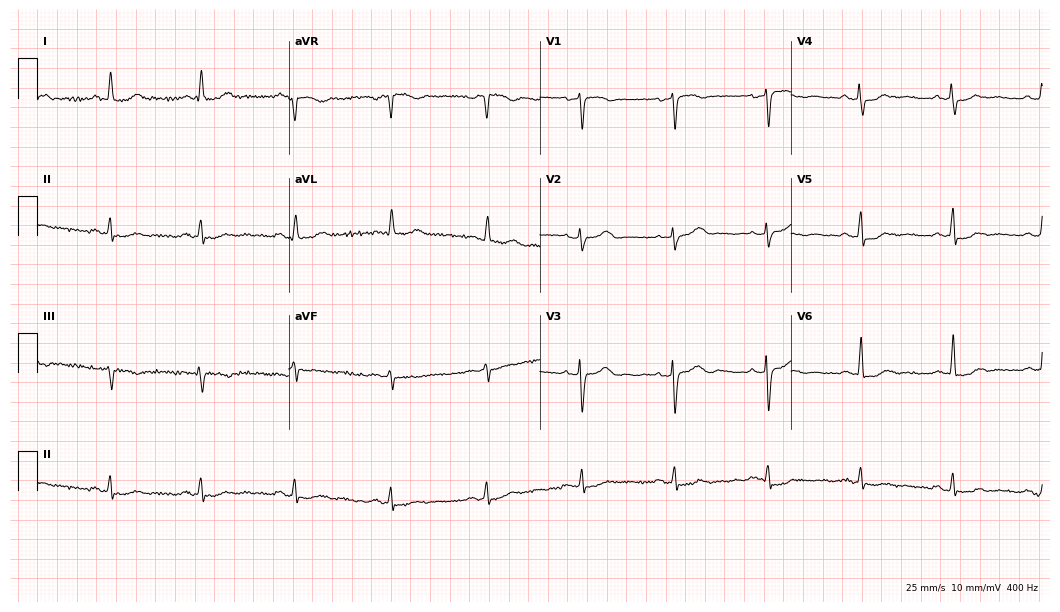
Electrocardiogram (10.2-second recording at 400 Hz), a 64-year-old female. Of the six screened findings (first-degree AV block, right bundle branch block, left bundle branch block, sinus bradycardia, atrial fibrillation, sinus tachycardia), none is recorded.